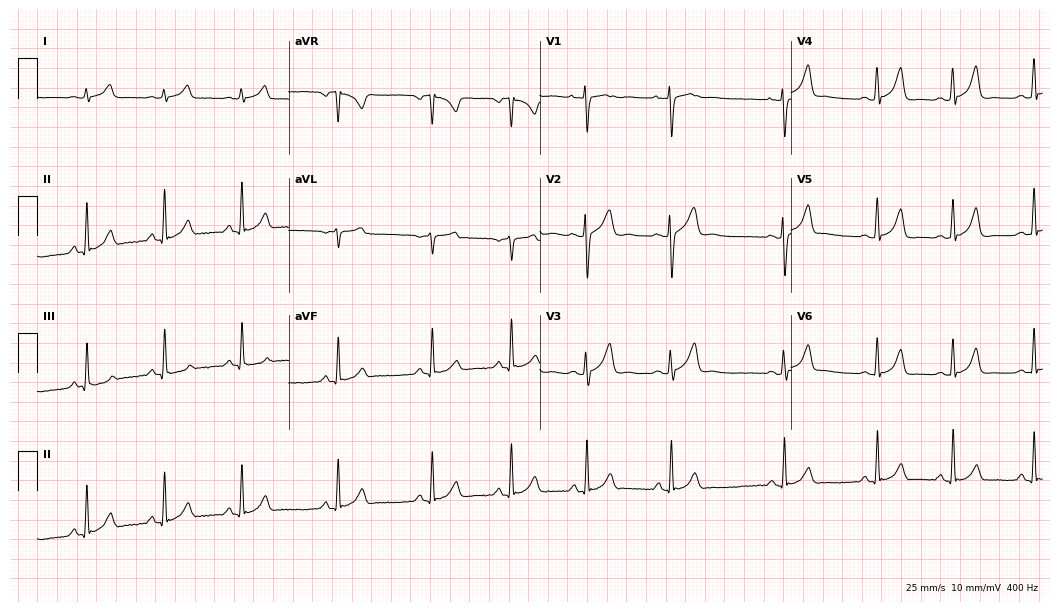
ECG — a 19-year-old woman. Labelled as a normal ECG.